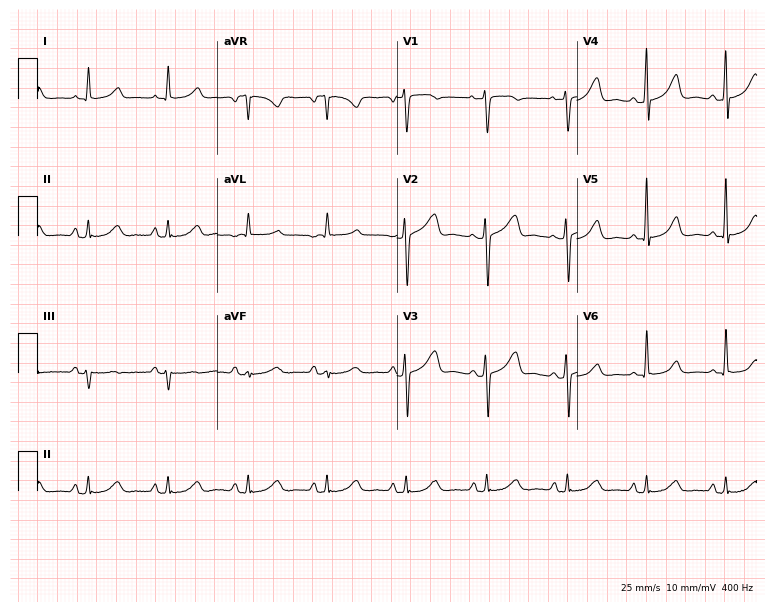
12-lead ECG from a 70-year-old female. No first-degree AV block, right bundle branch block, left bundle branch block, sinus bradycardia, atrial fibrillation or sinus tachycardia recorded for this tracing. Only these six findings were labelled.